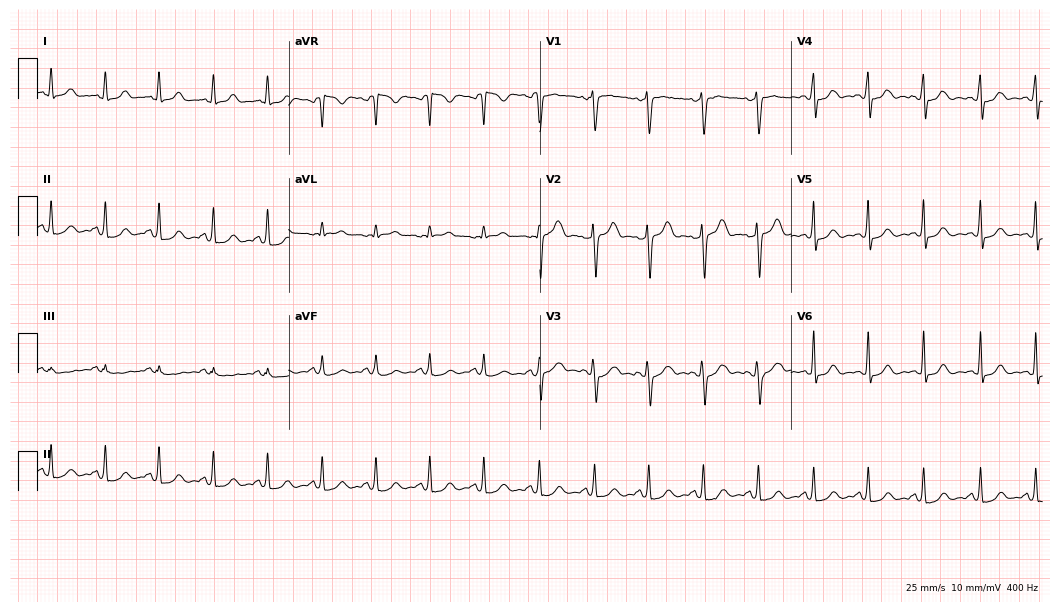
ECG (10.2-second recording at 400 Hz) — a 34-year-old female. Findings include sinus tachycardia (a sinus rate of 100 beats per minute or more).